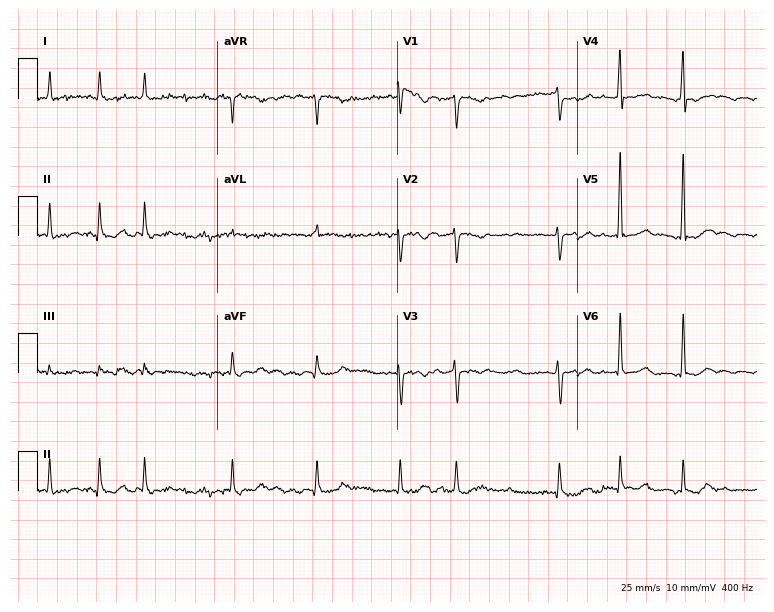
Electrocardiogram, a 74-year-old man. Interpretation includes atrial fibrillation.